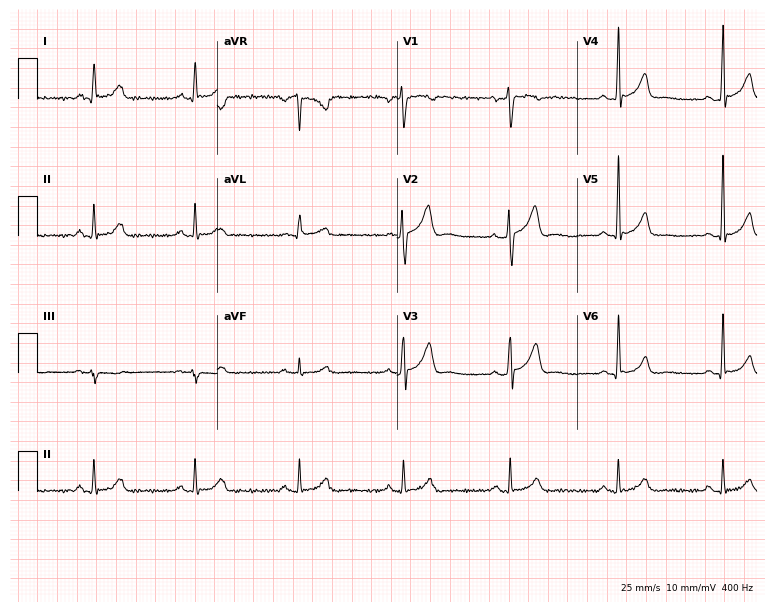
Standard 12-lead ECG recorded from a 43-year-old male (7.3-second recording at 400 Hz). None of these six findings is recorded: first-degree AV block, right bundle branch block, left bundle branch block, sinus bradycardia, atrial fibrillation, sinus tachycardia.